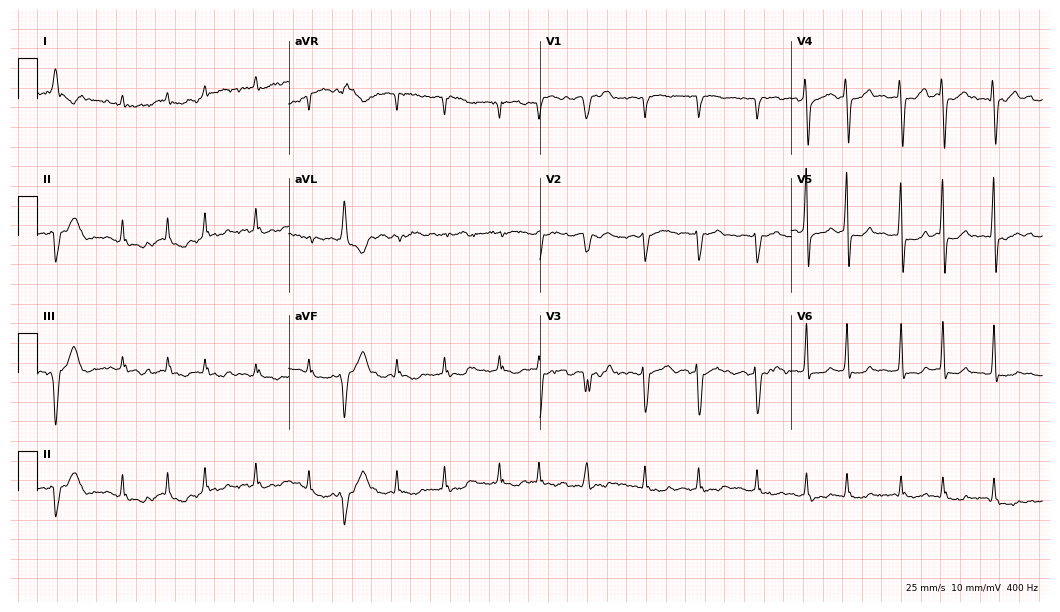
ECG — a man, 84 years old. Findings include atrial fibrillation.